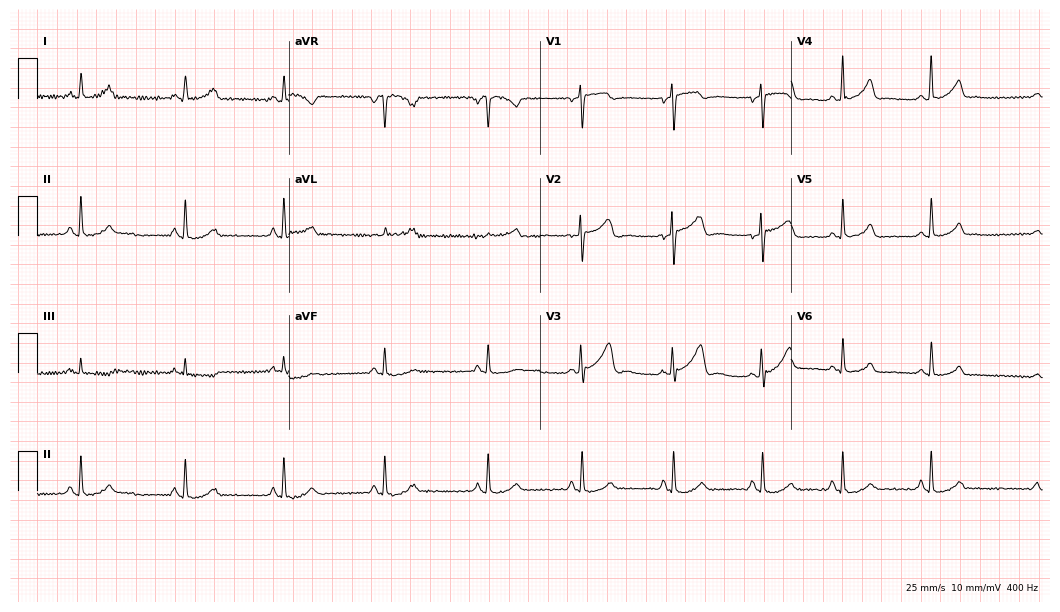
Standard 12-lead ECG recorded from a 21-year-old woman. Read as a normal ECG.